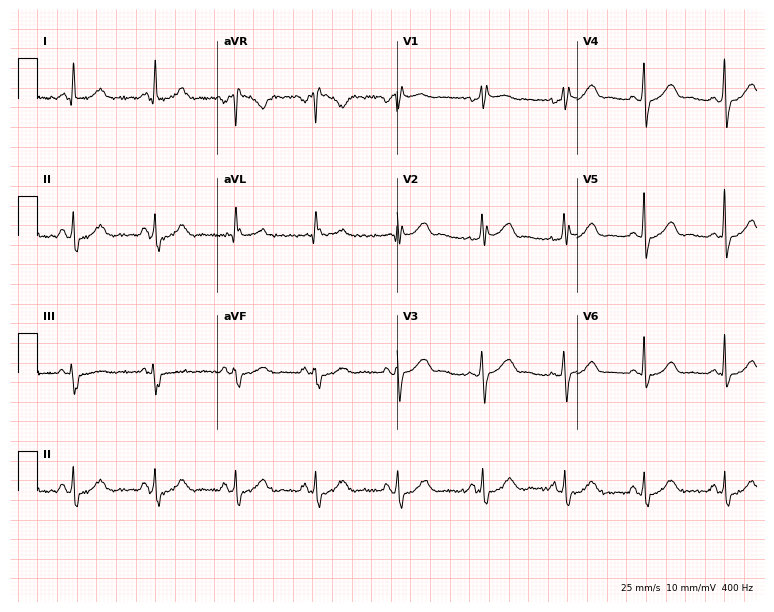
12-lead ECG from a 35-year-old female patient. No first-degree AV block, right bundle branch block, left bundle branch block, sinus bradycardia, atrial fibrillation or sinus tachycardia recorded for this tracing. Findings outside these six are not listed.